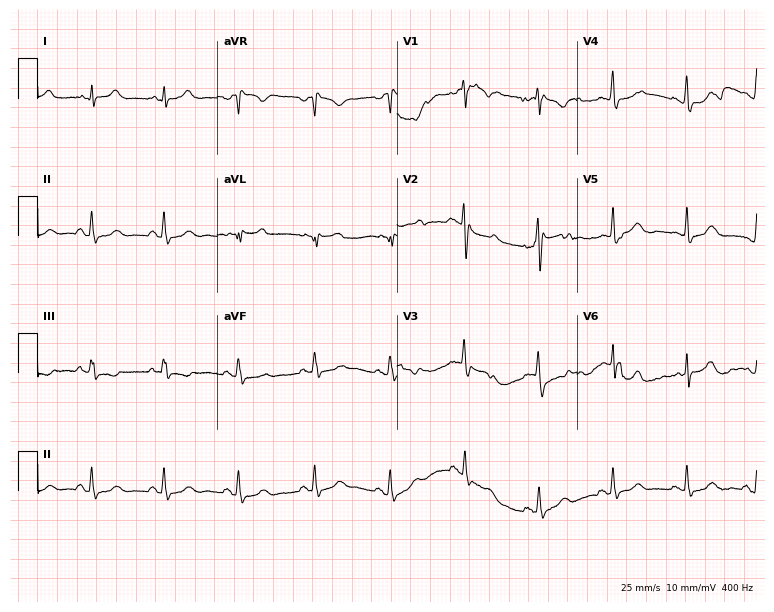
12-lead ECG from a 23-year-old female patient (7.3-second recording at 400 Hz). Recorded interpretation: within normal limits.